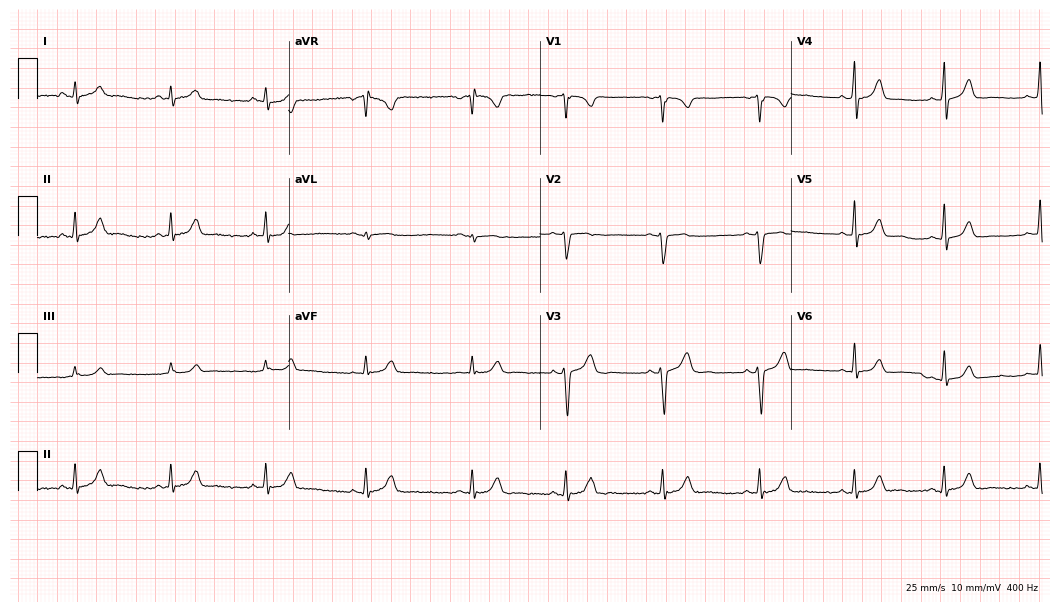
12-lead ECG from a 32-year-old female patient. Recorded interpretation: within normal limits.